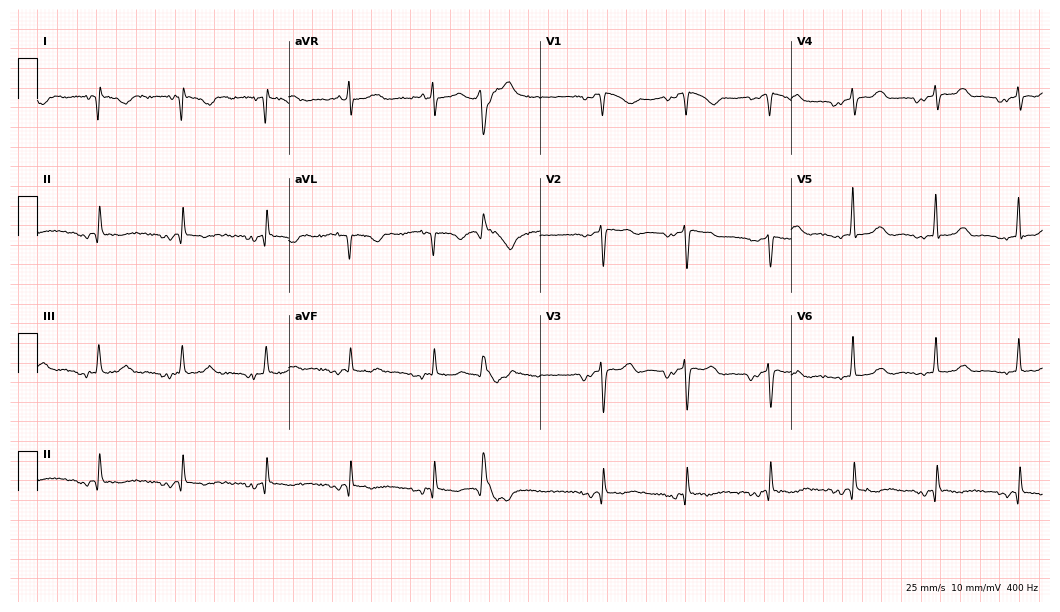
12-lead ECG from a woman, 80 years old (10.2-second recording at 400 Hz). No first-degree AV block, right bundle branch block, left bundle branch block, sinus bradycardia, atrial fibrillation or sinus tachycardia recorded for this tracing.